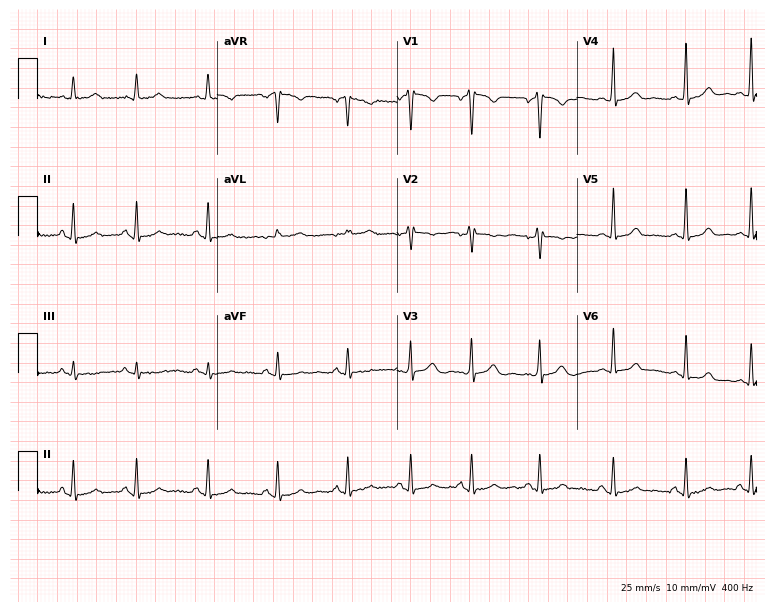
12-lead ECG from a 23-year-old woman (7.3-second recording at 400 Hz). No first-degree AV block, right bundle branch block, left bundle branch block, sinus bradycardia, atrial fibrillation or sinus tachycardia recorded for this tracing.